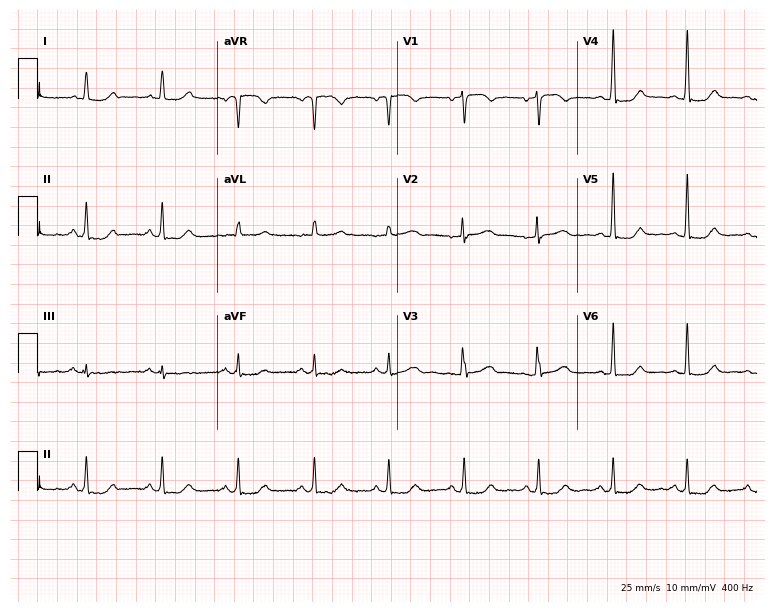
Electrocardiogram, a woman, 61 years old. Overall reading on record: normal ECG.